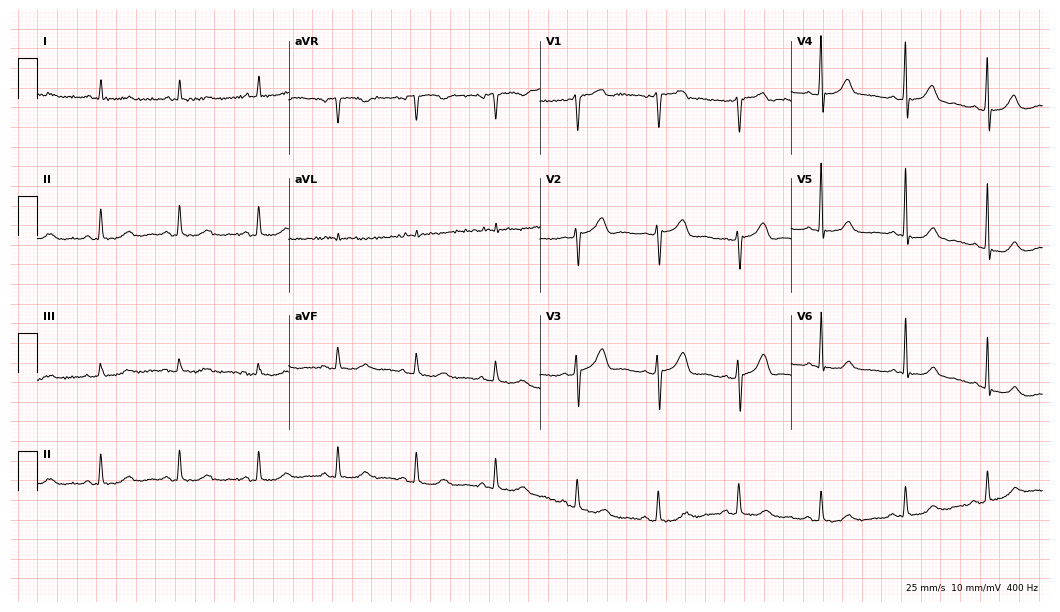
Standard 12-lead ECG recorded from a 67-year-old male (10.2-second recording at 400 Hz). None of these six findings is recorded: first-degree AV block, right bundle branch block, left bundle branch block, sinus bradycardia, atrial fibrillation, sinus tachycardia. Only these six findings were labelled.